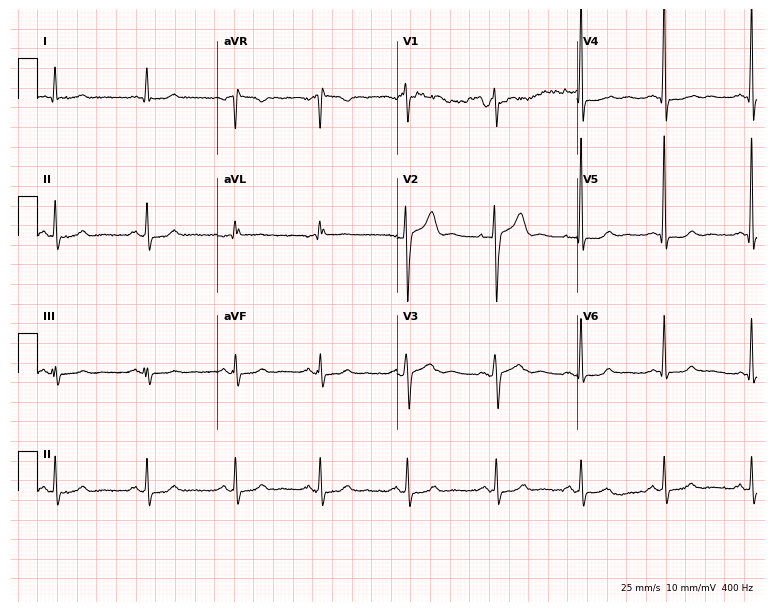
12-lead ECG from a female, 52 years old (7.3-second recording at 400 Hz). No first-degree AV block, right bundle branch block (RBBB), left bundle branch block (LBBB), sinus bradycardia, atrial fibrillation (AF) or sinus tachycardia recorded for this tracing.